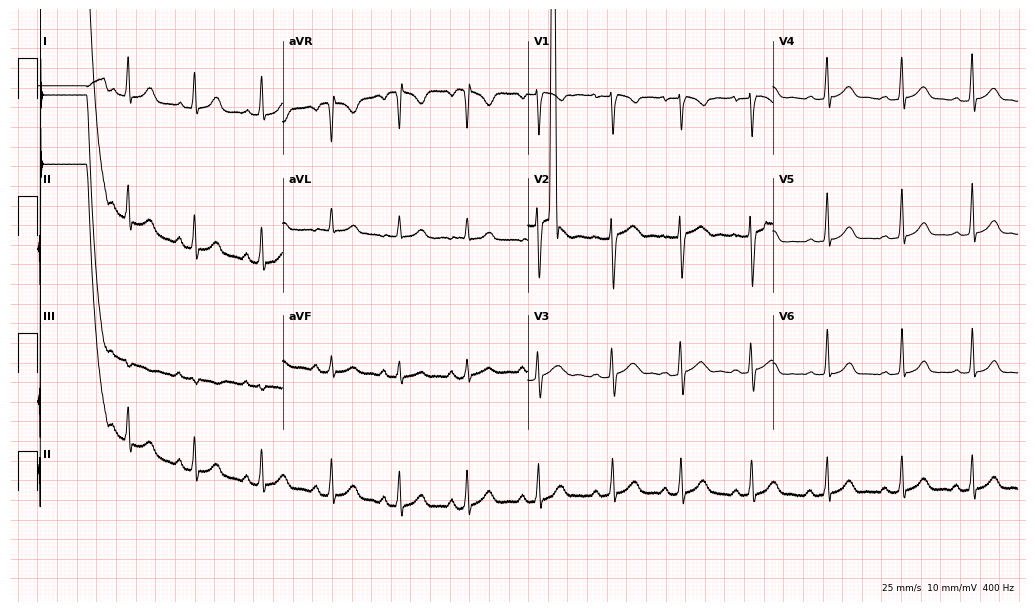
ECG — a female, 17 years old. Labelled as a normal ECG.